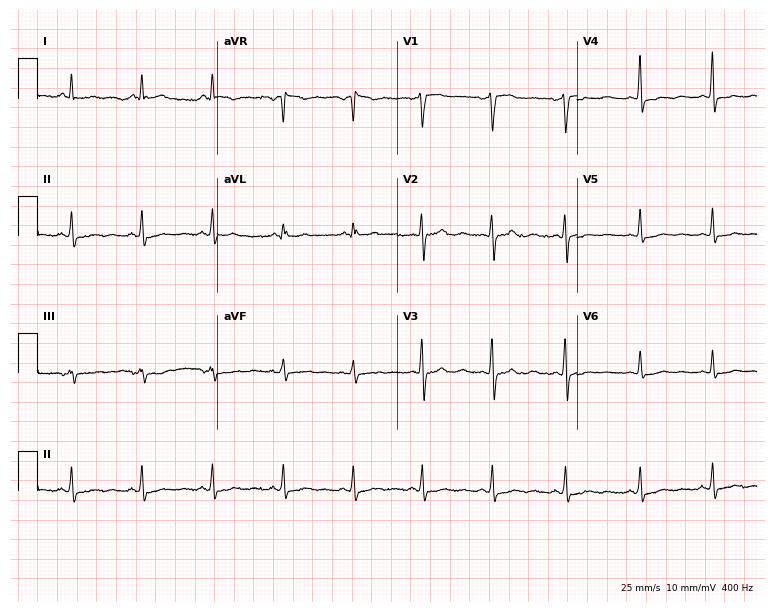
12-lead ECG from a 28-year-old woman. Screened for six findings — first-degree AV block, right bundle branch block, left bundle branch block, sinus bradycardia, atrial fibrillation, sinus tachycardia — none is recorded. Findings outside these six are not listed.